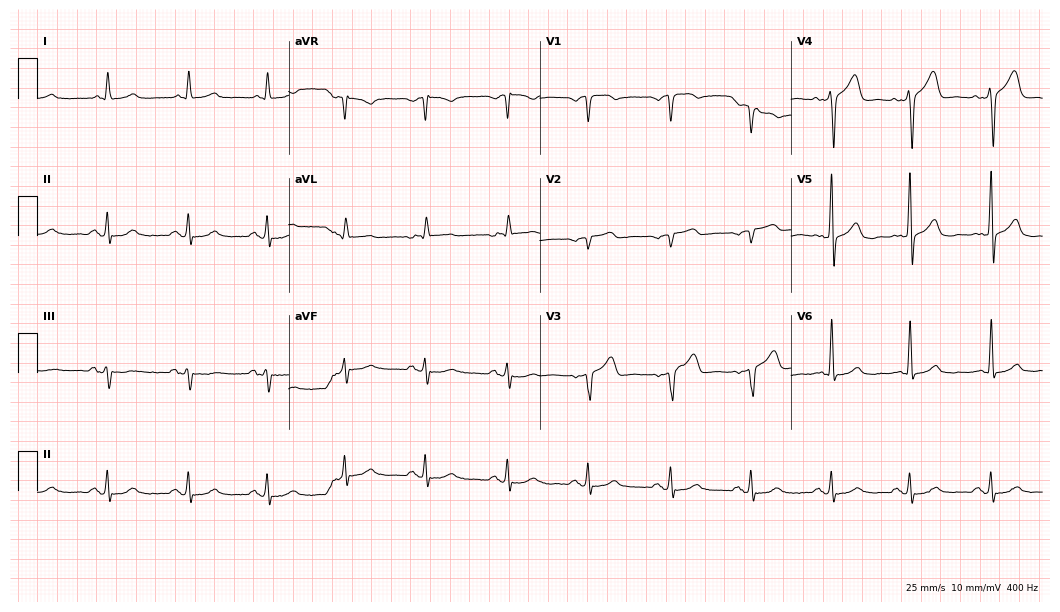
ECG — a male, 51 years old. Screened for six findings — first-degree AV block, right bundle branch block, left bundle branch block, sinus bradycardia, atrial fibrillation, sinus tachycardia — none is recorded. Other findings, if any, are not listed.